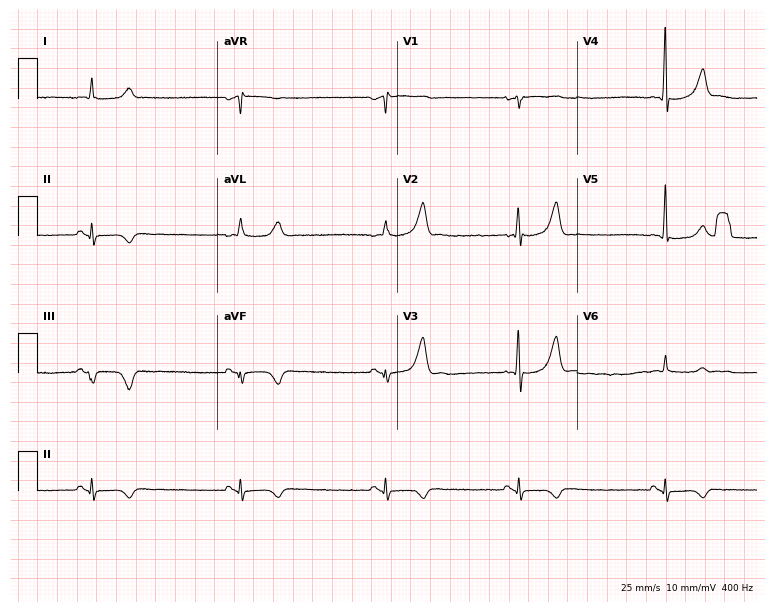
ECG (7.3-second recording at 400 Hz) — a 58-year-old female. Findings include sinus bradycardia (a sinus rate of 50 beats per minute or less).